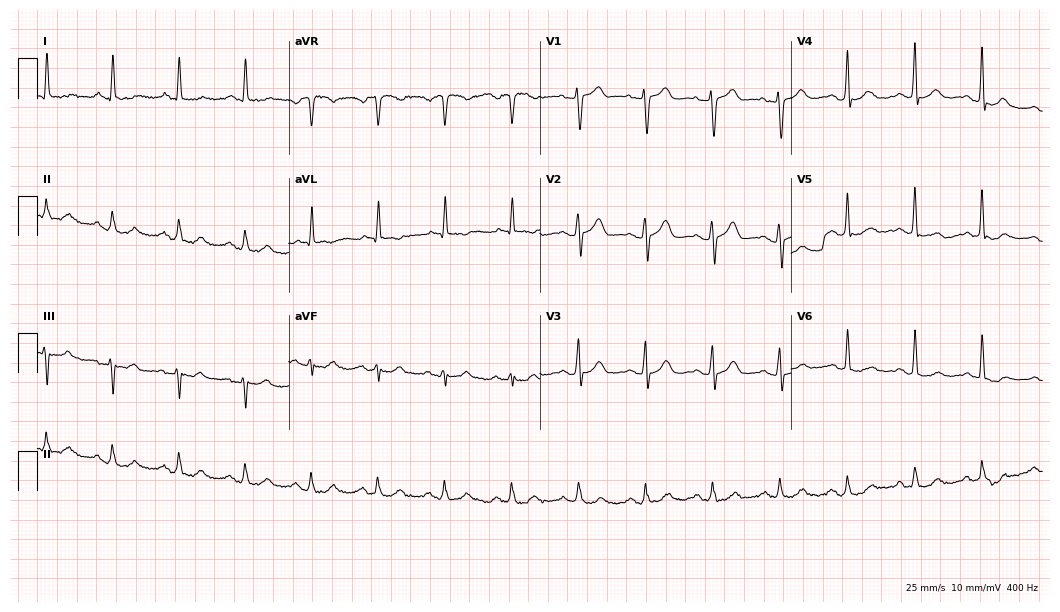
Resting 12-lead electrocardiogram (10.2-second recording at 400 Hz). Patient: a 76-year-old man. Read as a normal ECG.